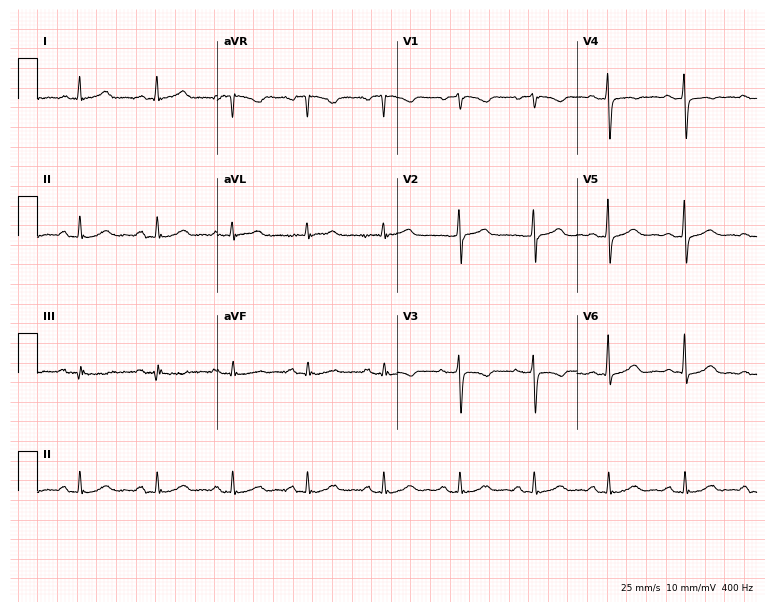
Electrocardiogram (7.3-second recording at 400 Hz), a 59-year-old woman. Of the six screened findings (first-degree AV block, right bundle branch block (RBBB), left bundle branch block (LBBB), sinus bradycardia, atrial fibrillation (AF), sinus tachycardia), none is recorded. Findings outside these six are not listed.